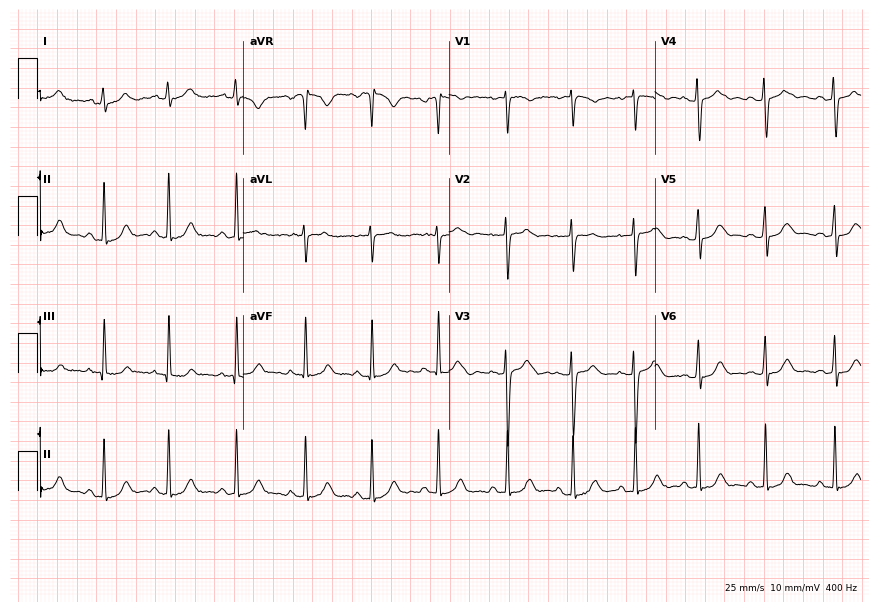
Standard 12-lead ECG recorded from a woman, 23 years old (8.4-second recording at 400 Hz). None of these six findings is recorded: first-degree AV block, right bundle branch block, left bundle branch block, sinus bradycardia, atrial fibrillation, sinus tachycardia.